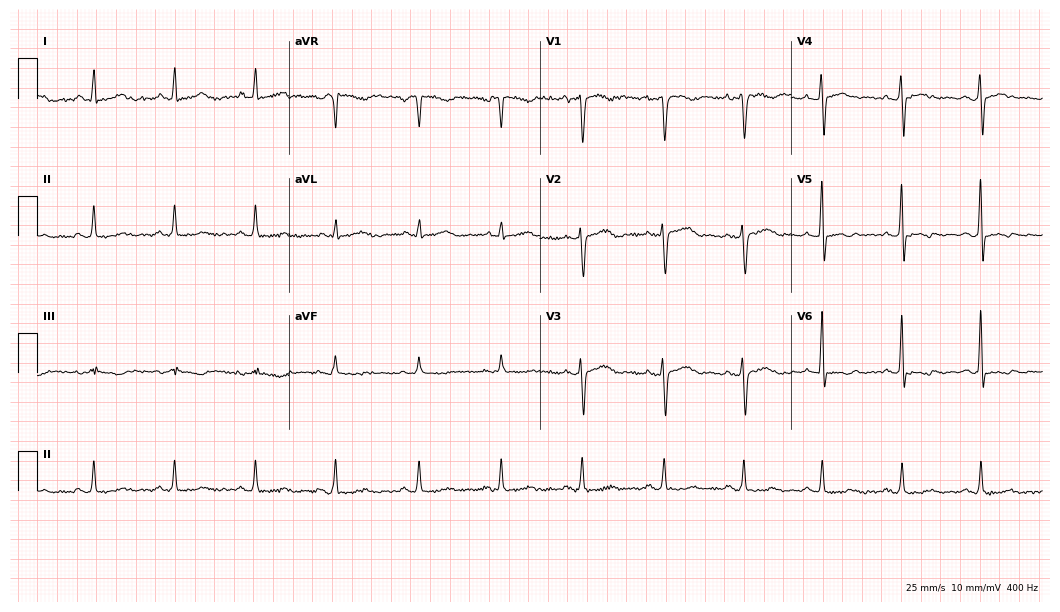
Resting 12-lead electrocardiogram (10.2-second recording at 400 Hz). Patient: a 36-year-old female. None of these six findings is recorded: first-degree AV block, right bundle branch block, left bundle branch block, sinus bradycardia, atrial fibrillation, sinus tachycardia.